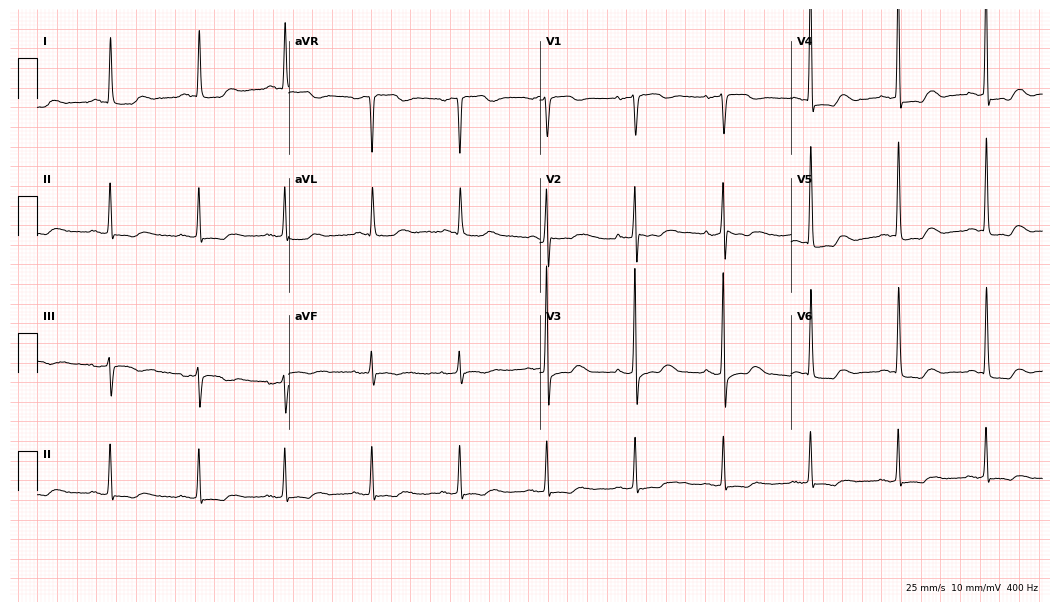
Standard 12-lead ECG recorded from a female, 78 years old (10.2-second recording at 400 Hz). None of these six findings is recorded: first-degree AV block, right bundle branch block (RBBB), left bundle branch block (LBBB), sinus bradycardia, atrial fibrillation (AF), sinus tachycardia. Findings outside these six are not listed.